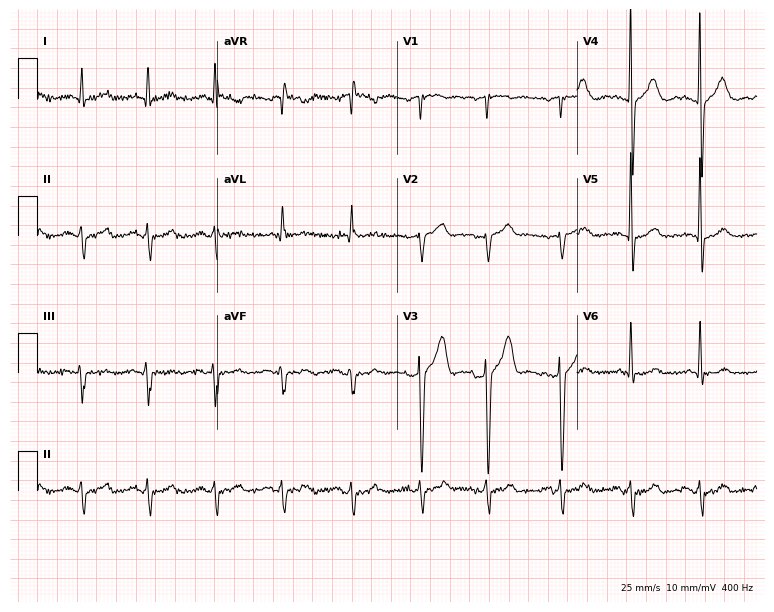
12-lead ECG from a male patient, 70 years old. No first-degree AV block, right bundle branch block (RBBB), left bundle branch block (LBBB), sinus bradycardia, atrial fibrillation (AF) or sinus tachycardia recorded for this tracing.